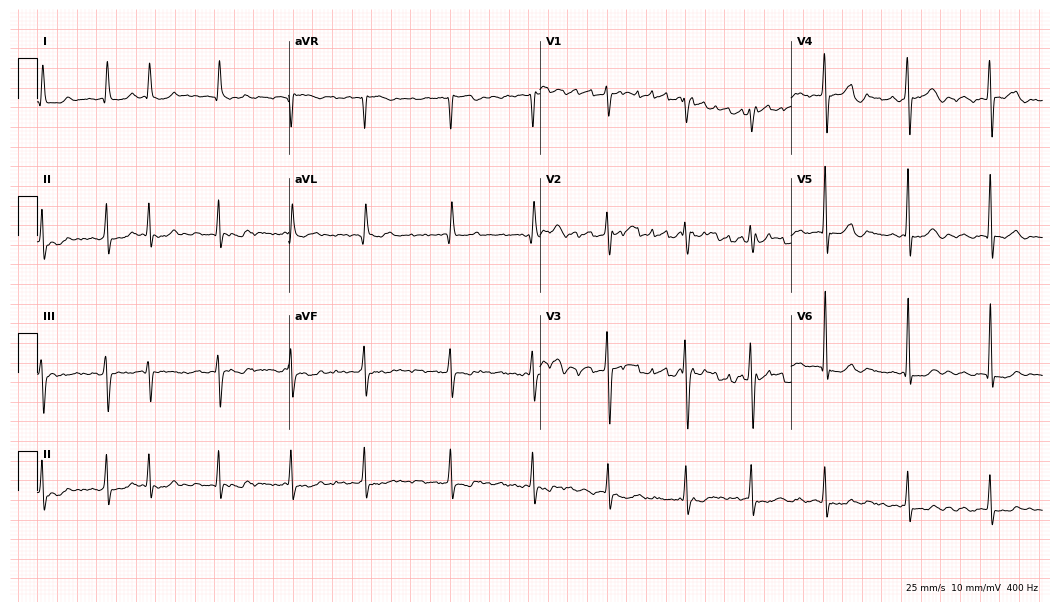
12-lead ECG (10.2-second recording at 400 Hz) from a 74-year-old woman. Findings include atrial fibrillation.